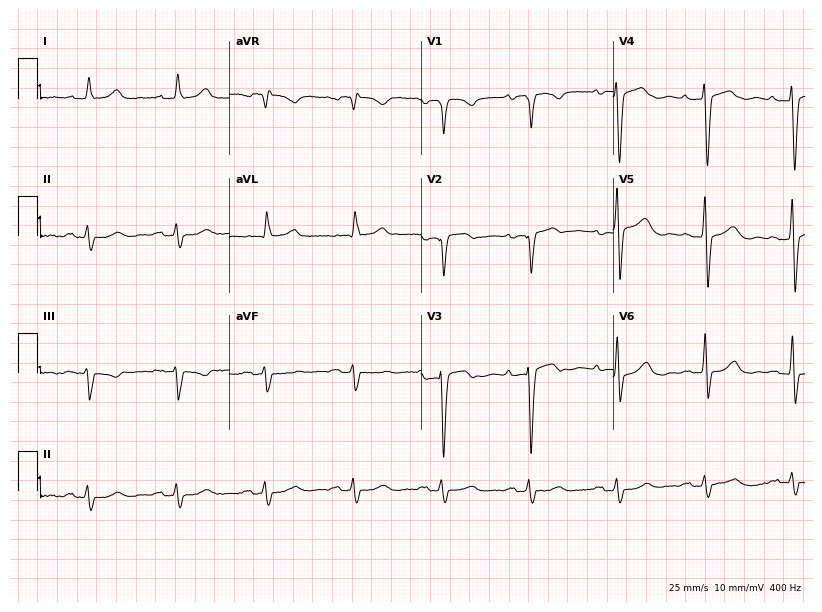
12-lead ECG from a female patient, 80 years old. Labelled as a normal ECG.